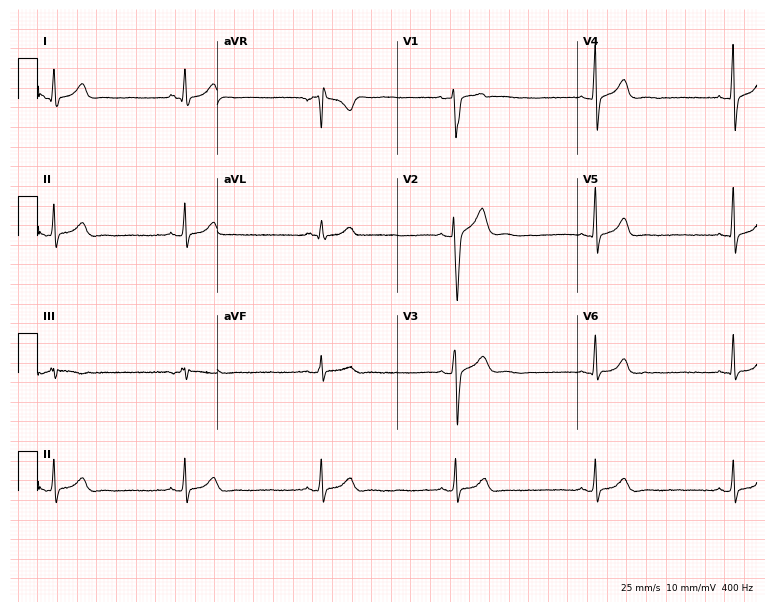
12-lead ECG (7.3-second recording at 400 Hz) from a male patient, 32 years old. Findings include sinus bradycardia (a sinus rate of 50 beats per minute or less).